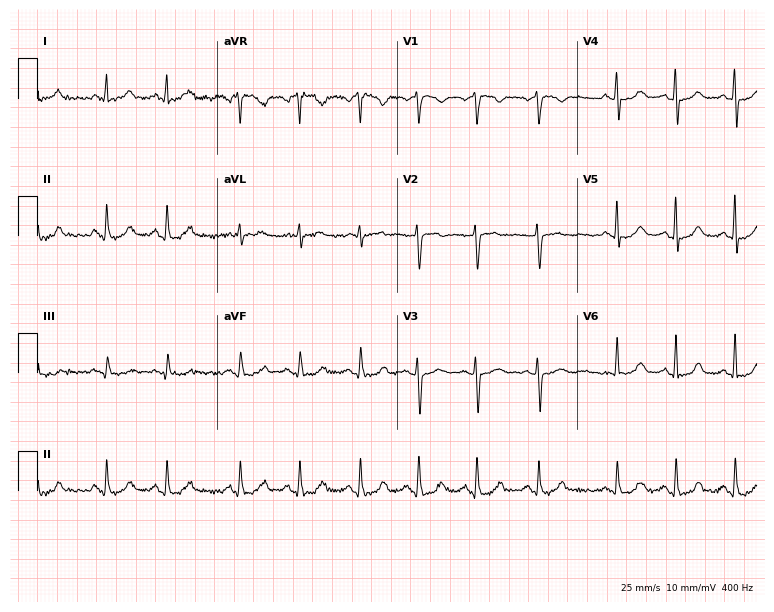
12-lead ECG from a 38-year-old female. Recorded interpretation: within normal limits.